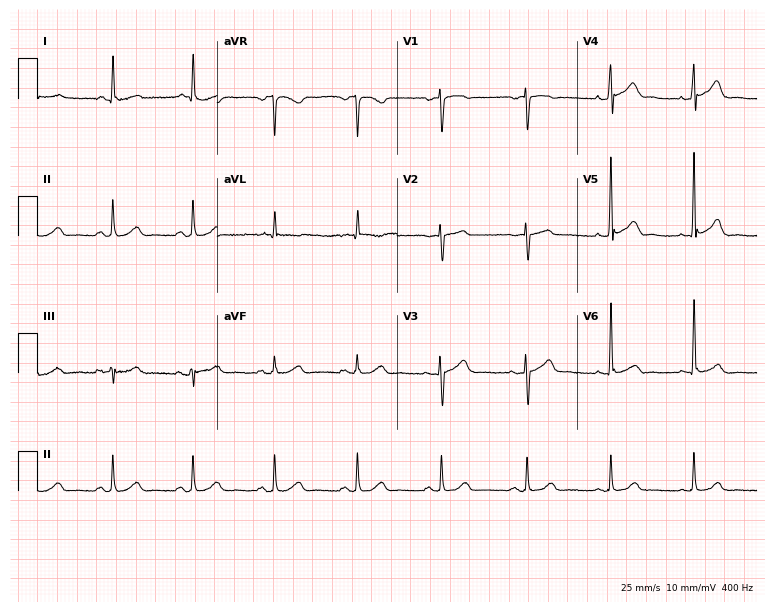
Electrocardiogram (7.3-second recording at 400 Hz), an 80-year-old woman. Of the six screened findings (first-degree AV block, right bundle branch block, left bundle branch block, sinus bradycardia, atrial fibrillation, sinus tachycardia), none is recorded. Only these six findings were labelled.